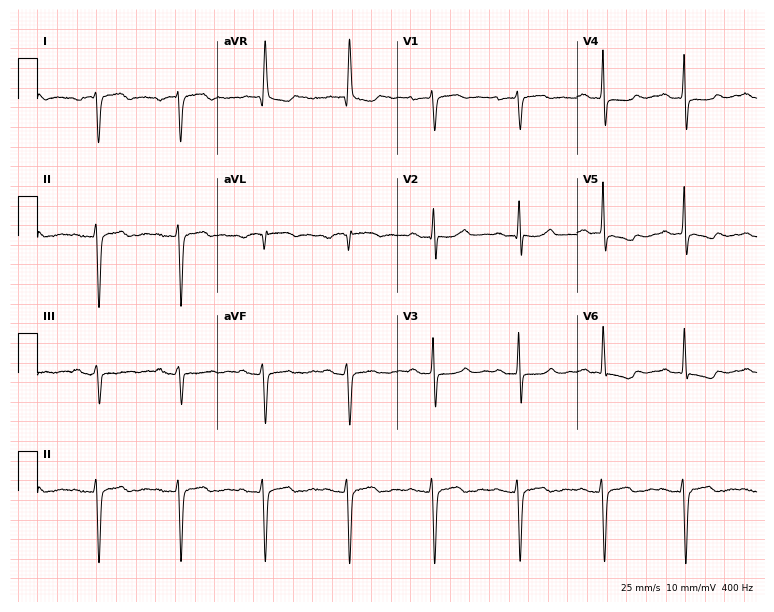
Electrocardiogram, a male, 77 years old. Of the six screened findings (first-degree AV block, right bundle branch block, left bundle branch block, sinus bradycardia, atrial fibrillation, sinus tachycardia), none is recorded. Other findings, if any, are not listed.